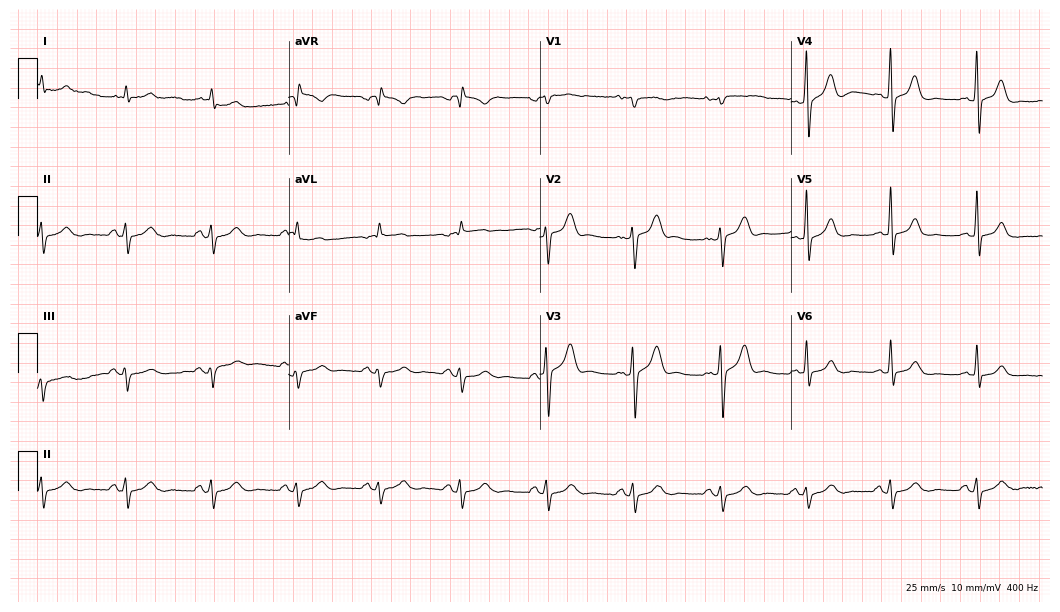
Electrocardiogram (10.2-second recording at 400 Hz), a man, 53 years old. Of the six screened findings (first-degree AV block, right bundle branch block (RBBB), left bundle branch block (LBBB), sinus bradycardia, atrial fibrillation (AF), sinus tachycardia), none is recorded. Other findings, if any, are not listed.